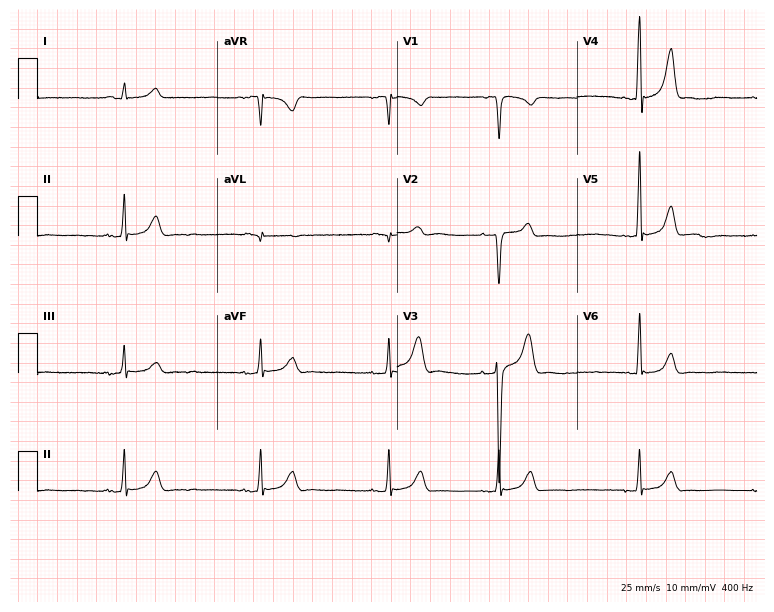
Electrocardiogram (7.3-second recording at 400 Hz), a 20-year-old man. Interpretation includes sinus bradycardia (a sinus rate of 50 beats per minute or less).